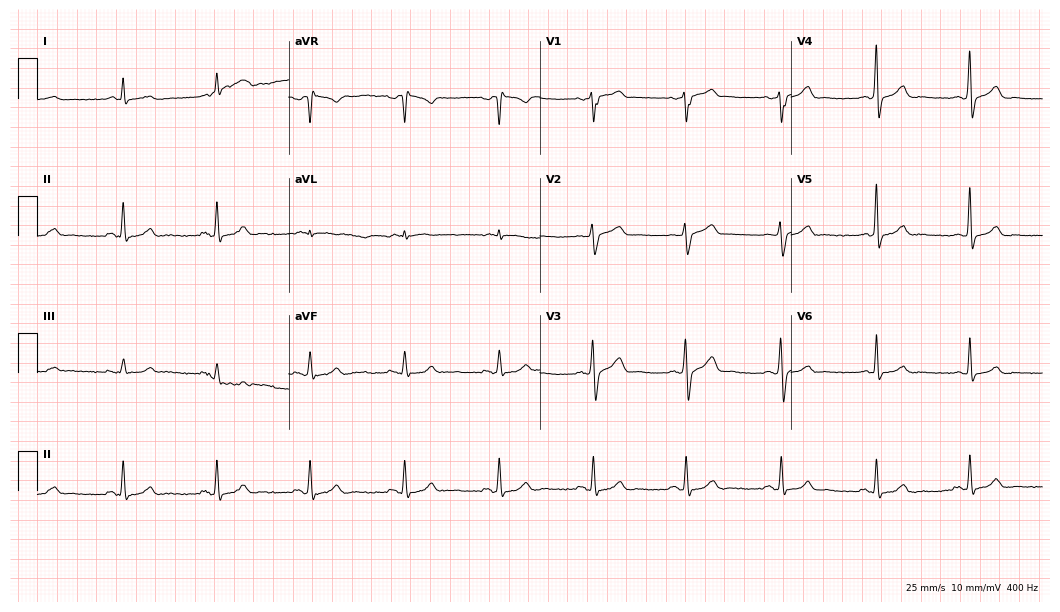
Standard 12-lead ECG recorded from a man, 61 years old (10.2-second recording at 400 Hz). Read as a normal ECG.